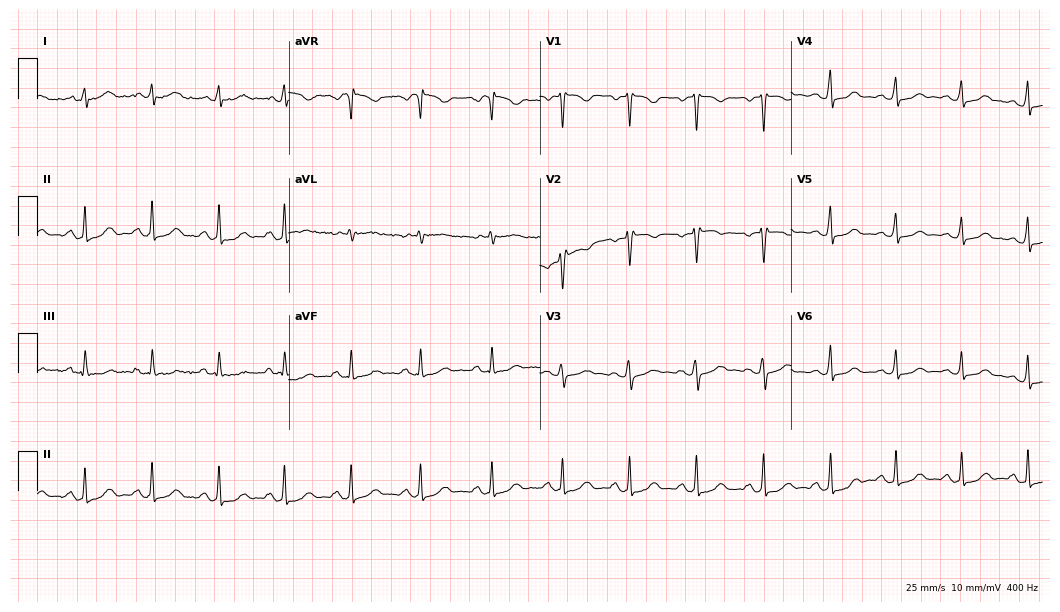
Electrocardiogram, a 28-year-old female. Of the six screened findings (first-degree AV block, right bundle branch block, left bundle branch block, sinus bradycardia, atrial fibrillation, sinus tachycardia), none is recorded. Findings outside these six are not listed.